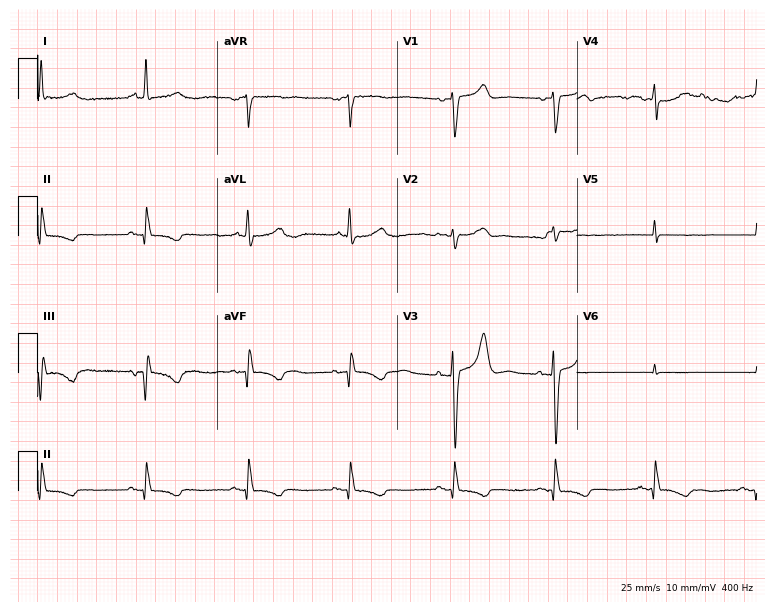
ECG (7.3-second recording at 400 Hz) — a 70-year-old male patient. Screened for six findings — first-degree AV block, right bundle branch block, left bundle branch block, sinus bradycardia, atrial fibrillation, sinus tachycardia — none is recorded.